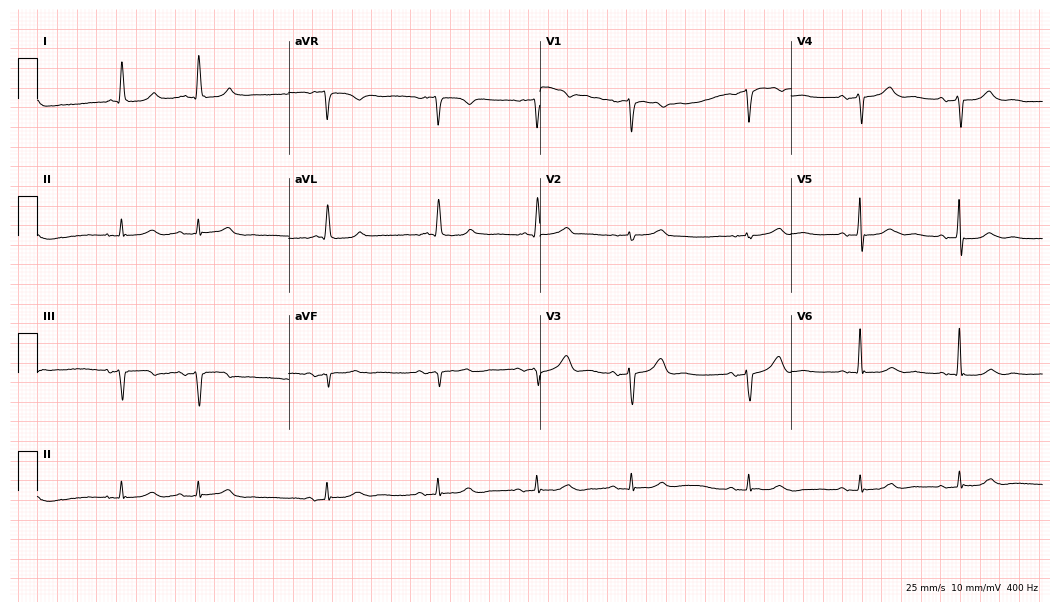
12-lead ECG from an 85-year-old man. No first-degree AV block, right bundle branch block, left bundle branch block, sinus bradycardia, atrial fibrillation or sinus tachycardia recorded for this tracing.